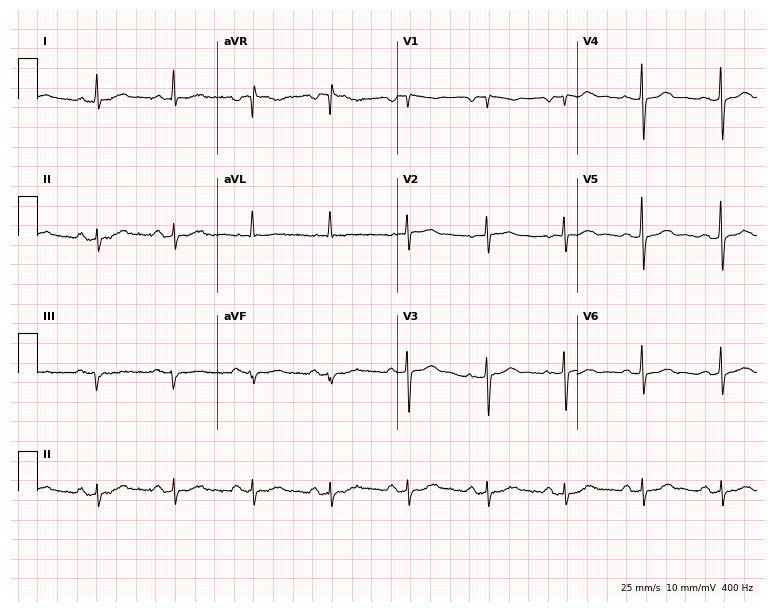
Electrocardiogram (7.3-second recording at 400 Hz), a female patient, 69 years old. Of the six screened findings (first-degree AV block, right bundle branch block (RBBB), left bundle branch block (LBBB), sinus bradycardia, atrial fibrillation (AF), sinus tachycardia), none is recorded. Findings outside these six are not listed.